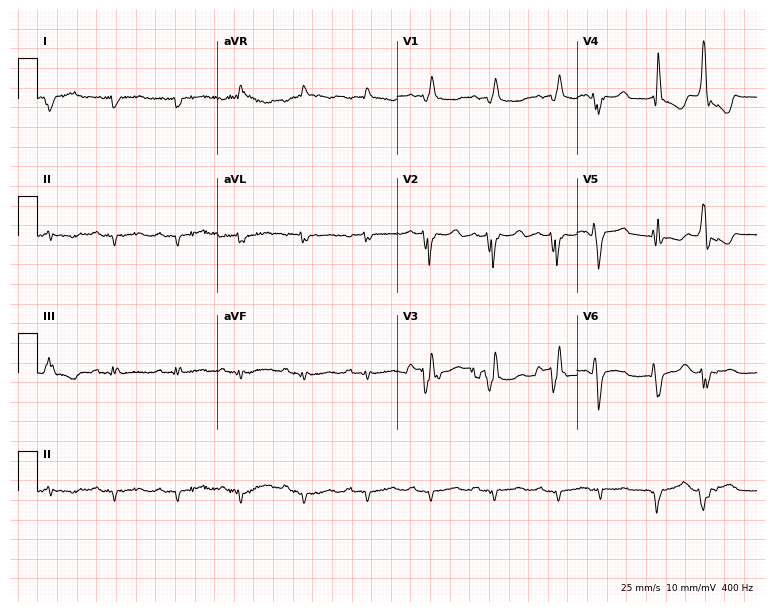
Resting 12-lead electrocardiogram. Patient: a male, 67 years old. None of these six findings is recorded: first-degree AV block, right bundle branch block, left bundle branch block, sinus bradycardia, atrial fibrillation, sinus tachycardia. Only these six findings were labelled.